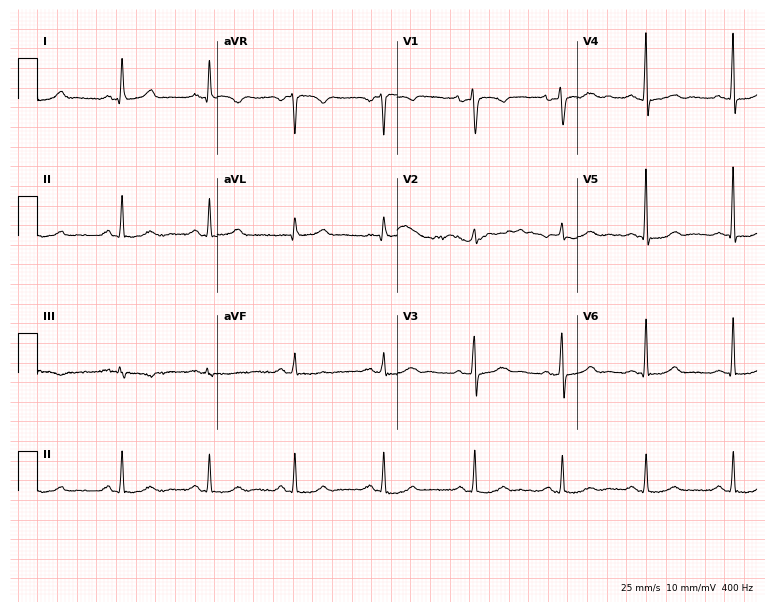
Resting 12-lead electrocardiogram (7.3-second recording at 400 Hz). Patient: a female, 53 years old. Read as a normal ECG.